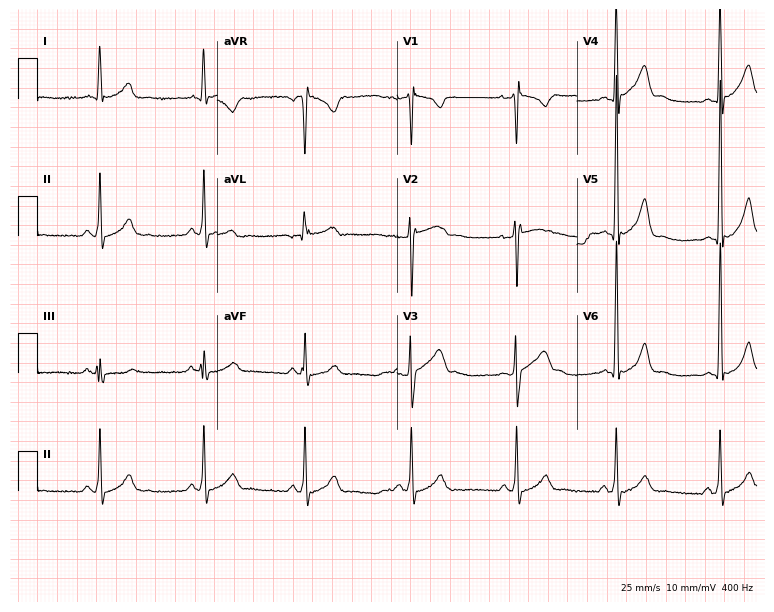
ECG — a 34-year-old male. Screened for six findings — first-degree AV block, right bundle branch block (RBBB), left bundle branch block (LBBB), sinus bradycardia, atrial fibrillation (AF), sinus tachycardia — none is recorded.